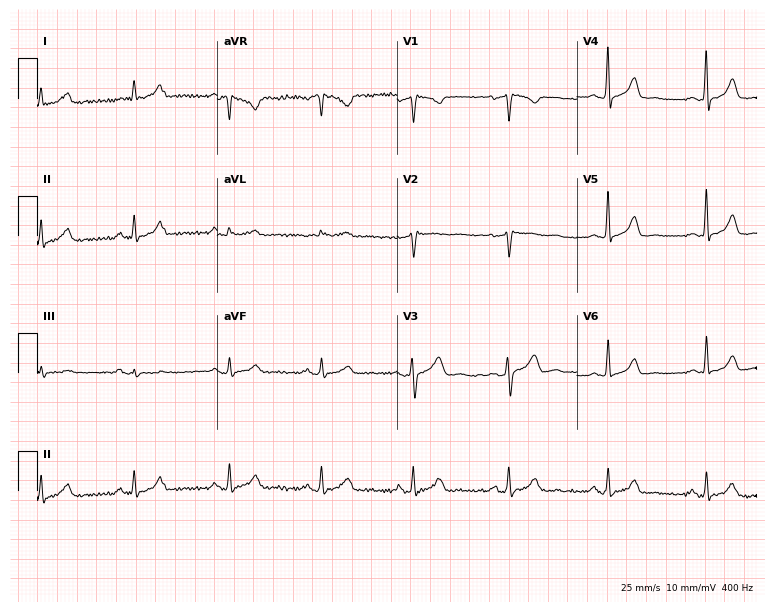
12-lead ECG (7.3-second recording at 400 Hz) from a woman, 45 years old. Screened for six findings — first-degree AV block, right bundle branch block, left bundle branch block, sinus bradycardia, atrial fibrillation, sinus tachycardia — none is recorded. Only these six findings were labelled.